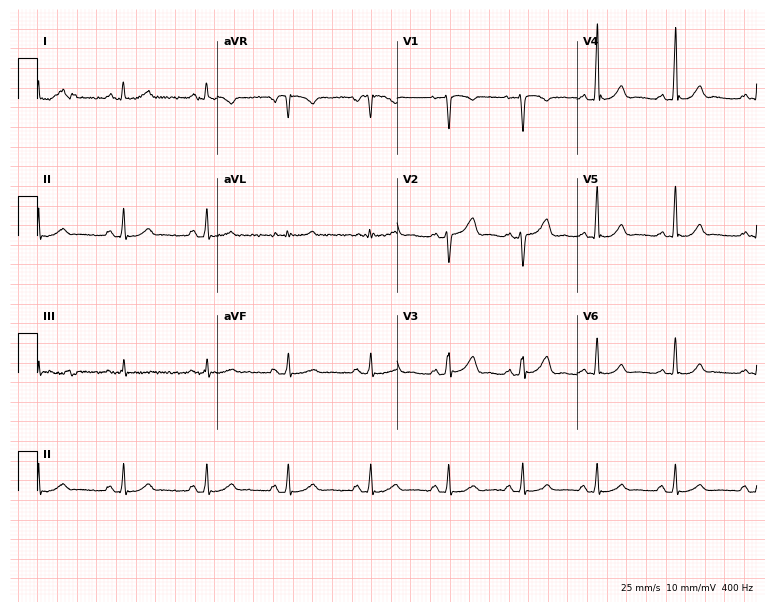
Resting 12-lead electrocardiogram (7.3-second recording at 400 Hz). Patient: a female, 34 years old. None of these six findings is recorded: first-degree AV block, right bundle branch block, left bundle branch block, sinus bradycardia, atrial fibrillation, sinus tachycardia. Other findings, if any, are not listed.